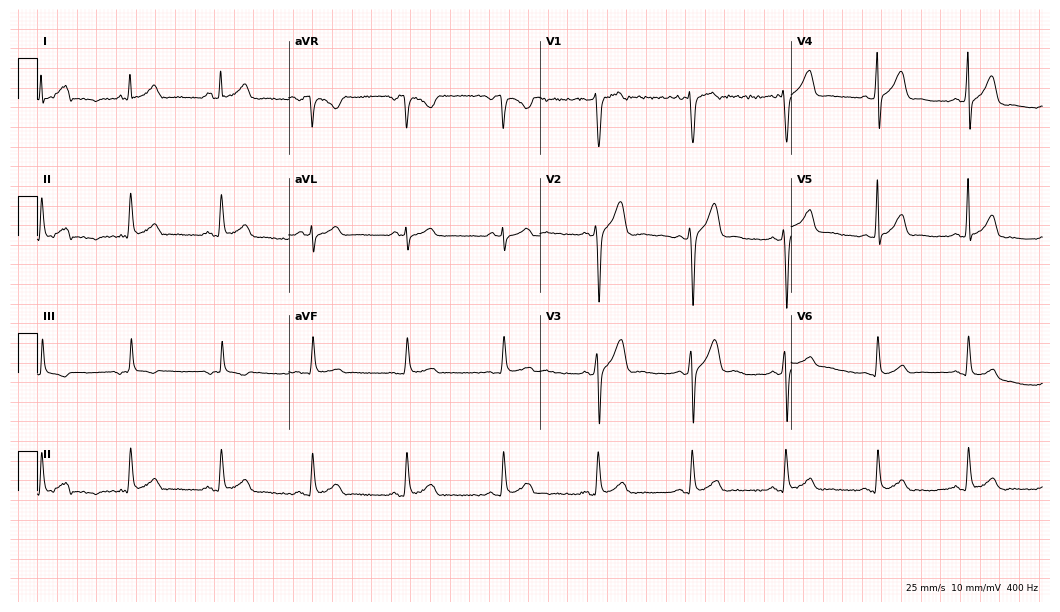
Electrocardiogram (10.2-second recording at 400 Hz), a 36-year-old male patient. Overall reading on record: normal ECG.